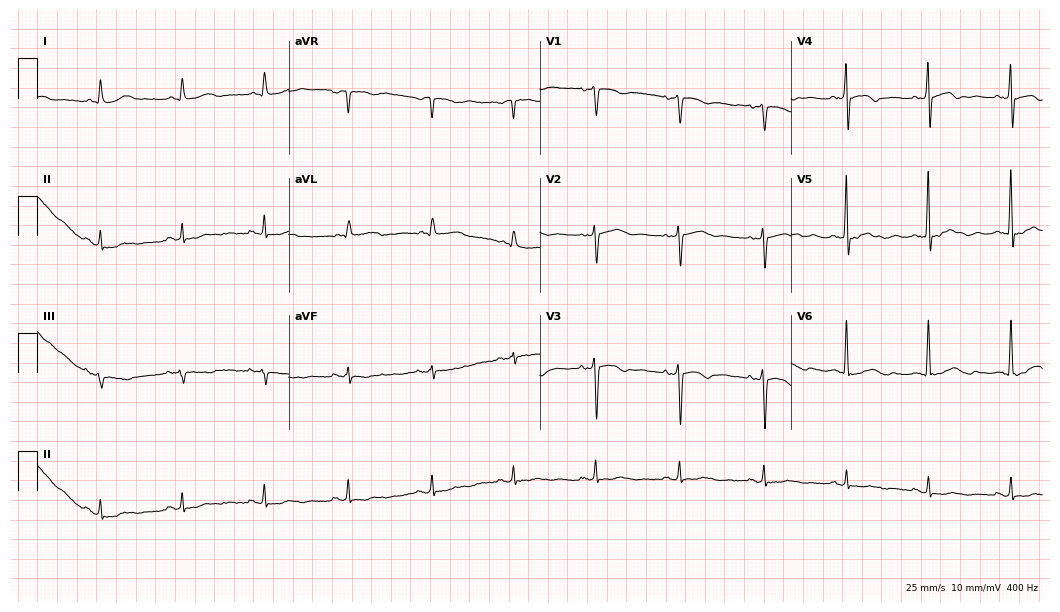
Standard 12-lead ECG recorded from a female, 69 years old (10.2-second recording at 400 Hz). None of these six findings is recorded: first-degree AV block, right bundle branch block (RBBB), left bundle branch block (LBBB), sinus bradycardia, atrial fibrillation (AF), sinus tachycardia. Findings outside these six are not listed.